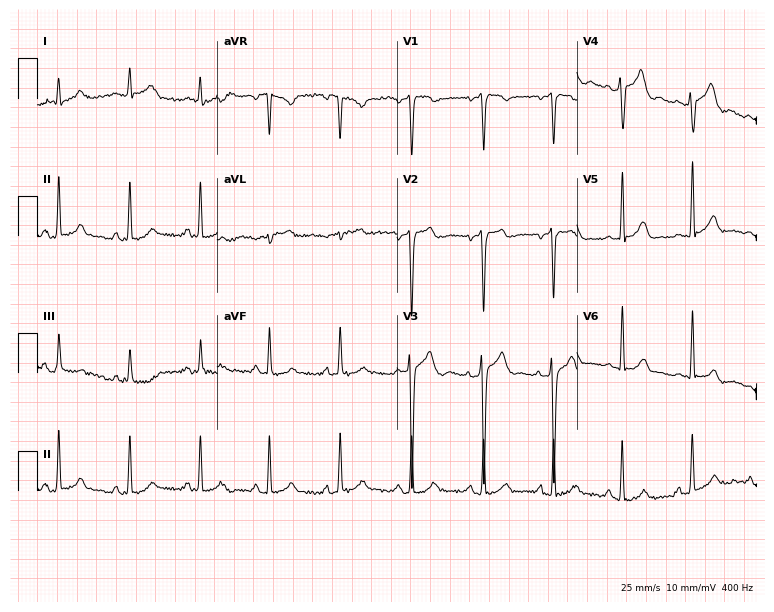
Resting 12-lead electrocardiogram. Patient: a male, 26 years old. None of these six findings is recorded: first-degree AV block, right bundle branch block, left bundle branch block, sinus bradycardia, atrial fibrillation, sinus tachycardia. Only these six findings were labelled.